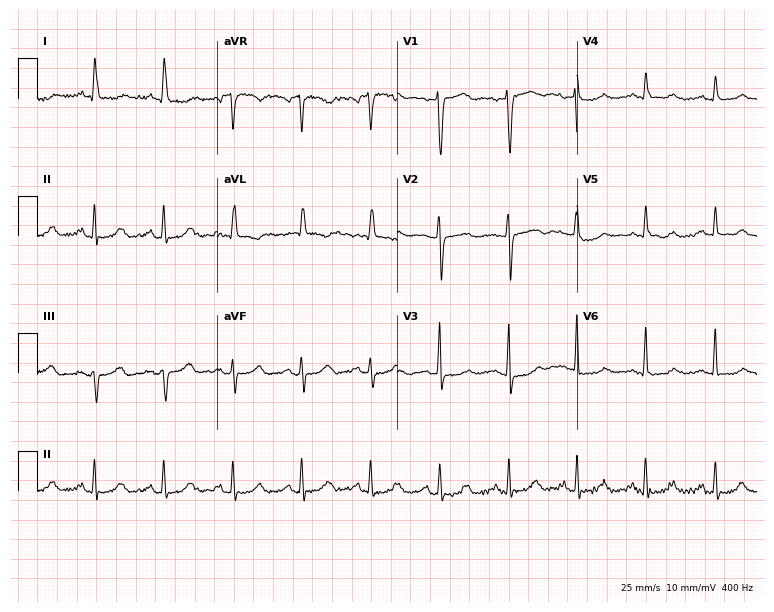
Standard 12-lead ECG recorded from a female, 73 years old (7.3-second recording at 400 Hz). None of these six findings is recorded: first-degree AV block, right bundle branch block, left bundle branch block, sinus bradycardia, atrial fibrillation, sinus tachycardia.